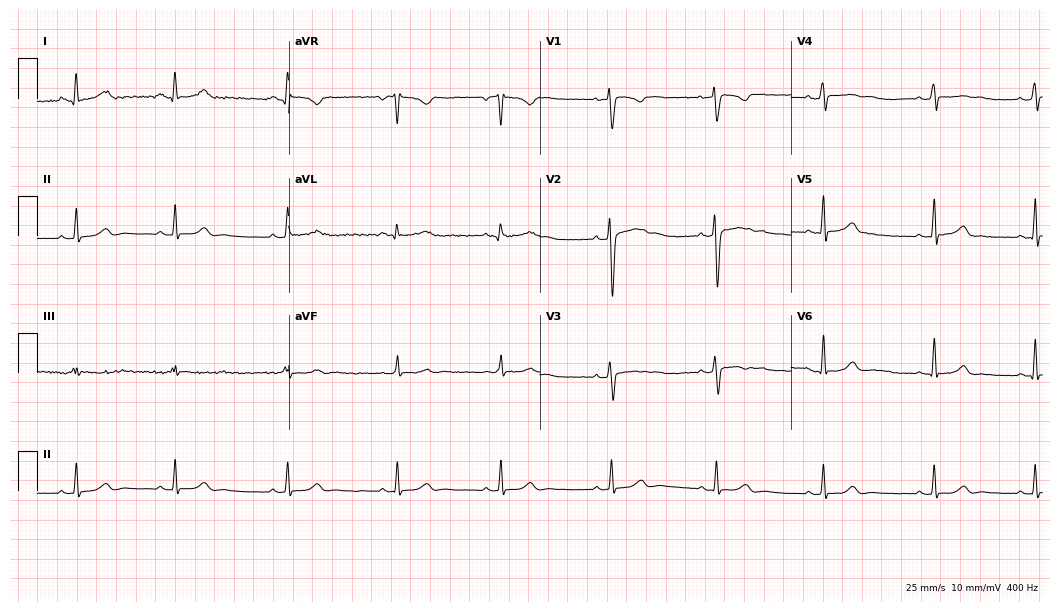
Electrocardiogram (10.2-second recording at 400 Hz), a woman, 25 years old. Overall reading on record: normal ECG.